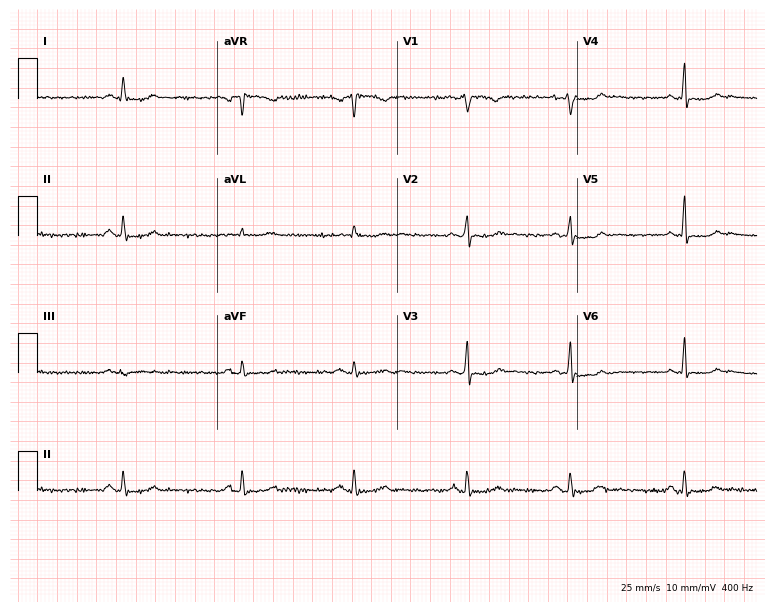
12-lead ECG from a 35-year-old woman. No first-degree AV block, right bundle branch block, left bundle branch block, sinus bradycardia, atrial fibrillation or sinus tachycardia recorded for this tracing. Other findings, if any, are not listed.